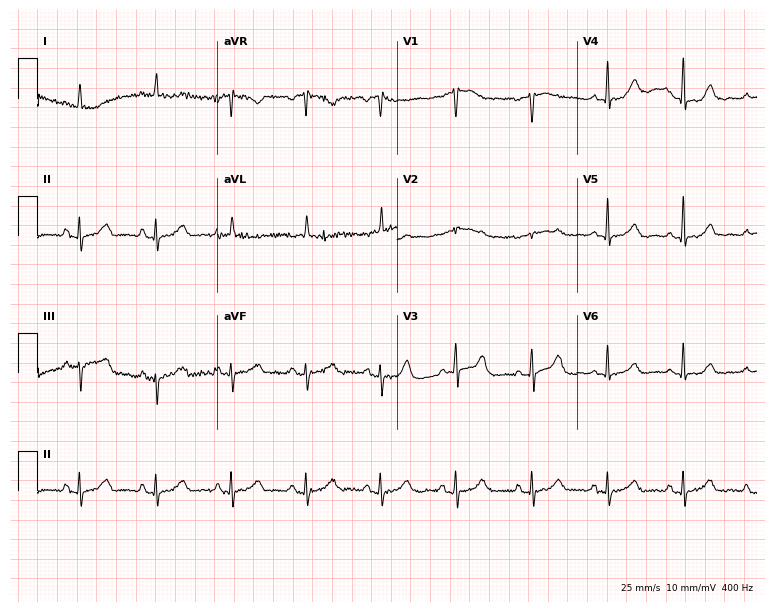
12-lead ECG from a woman, 20 years old (7.3-second recording at 400 Hz). No first-degree AV block, right bundle branch block (RBBB), left bundle branch block (LBBB), sinus bradycardia, atrial fibrillation (AF) or sinus tachycardia recorded for this tracing.